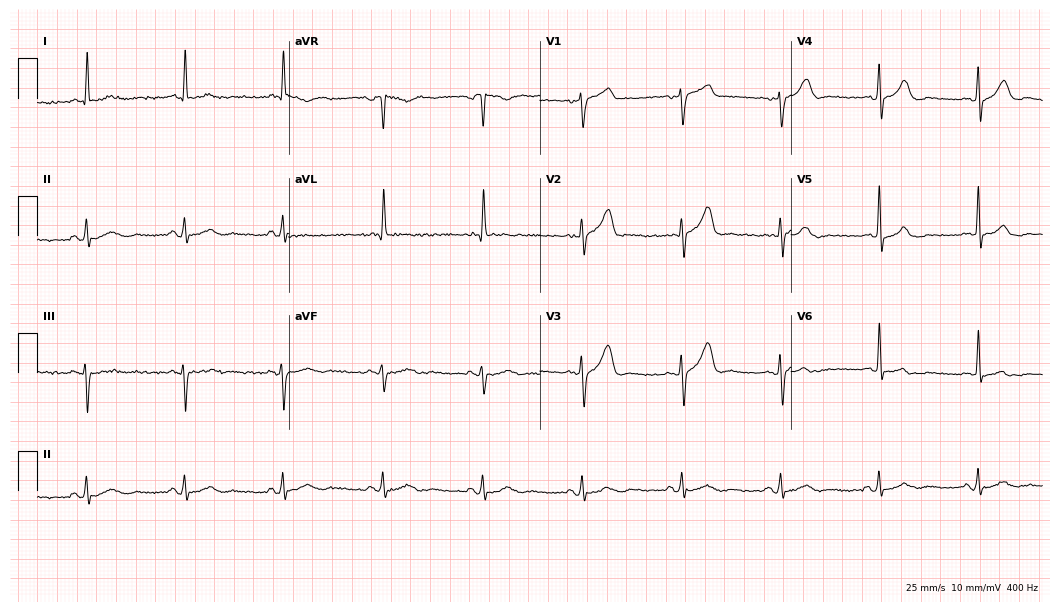
12-lead ECG from a 79-year-old male (10.2-second recording at 400 Hz). Recorded interpretation: within normal limits.